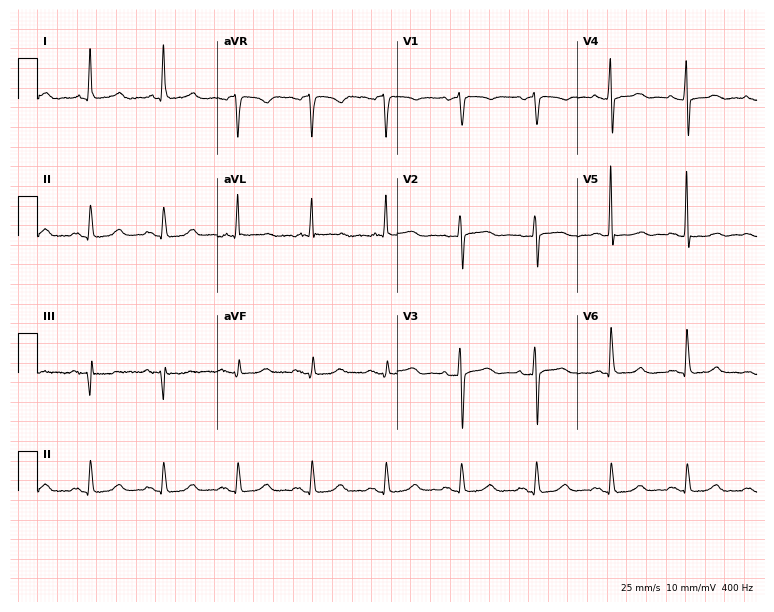
12-lead ECG from a female, 76 years old. Screened for six findings — first-degree AV block, right bundle branch block (RBBB), left bundle branch block (LBBB), sinus bradycardia, atrial fibrillation (AF), sinus tachycardia — none is recorded.